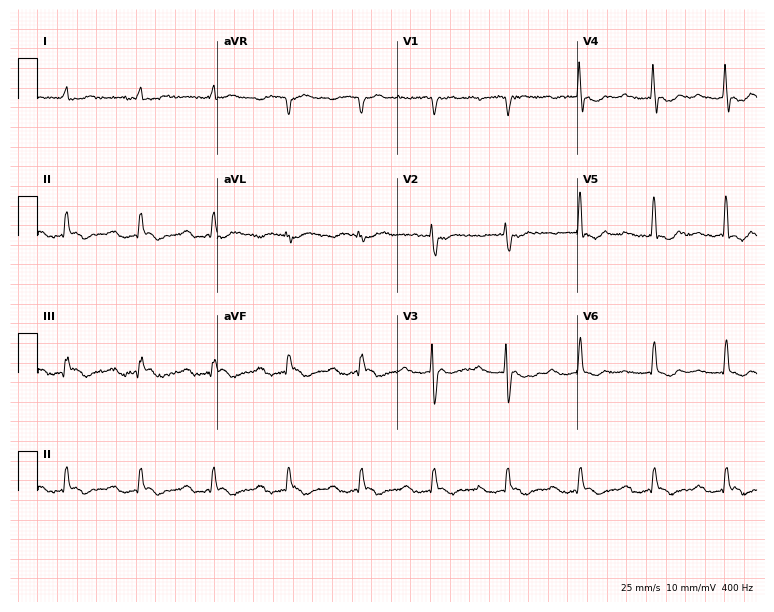
Resting 12-lead electrocardiogram. Patient: a woman, 63 years old. The tracing shows first-degree AV block.